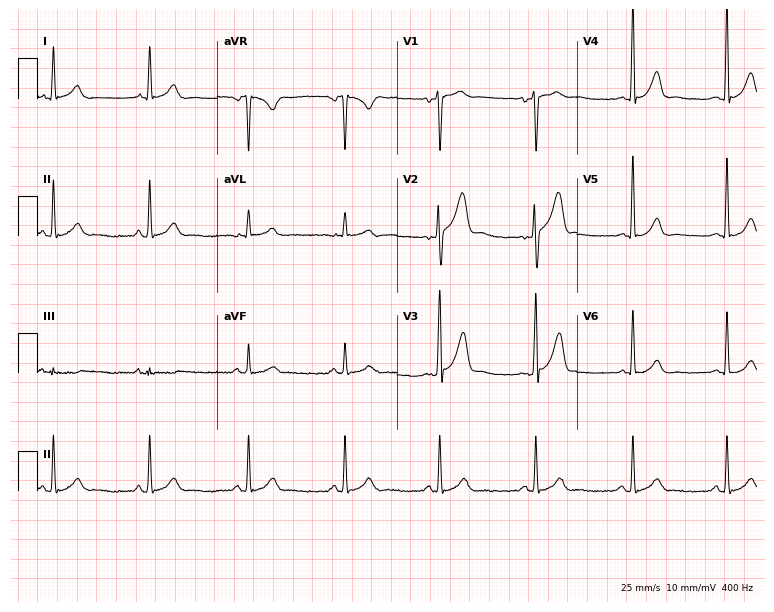
12-lead ECG (7.3-second recording at 400 Hz) from a male, 53 years old. Screened for six findings — first-degree AV block, right bundle branch block, left bundle branch block, sinus bradycardia, atrial fibrillation, sinus tachycardia — none is recorded.